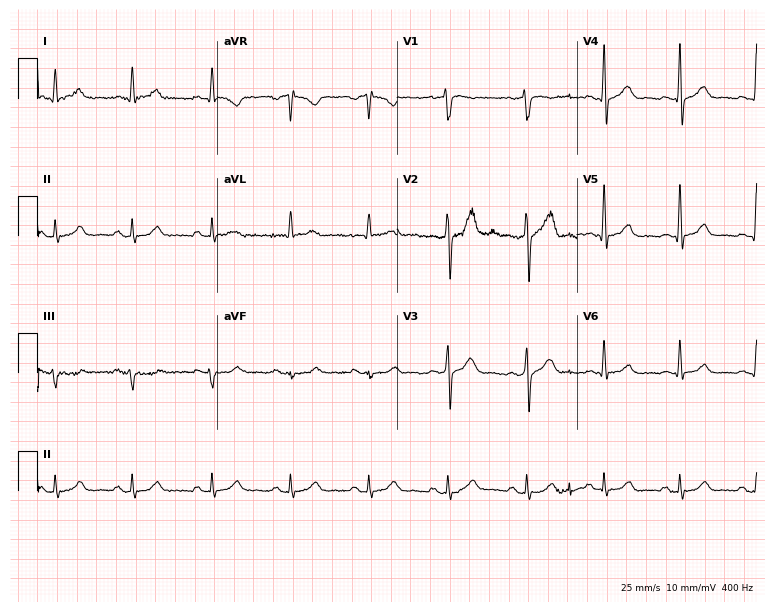
12-lead ECG (7.3-second recording at 400 Hz) from a male patient, 46 years old. Screened for six findings — first-degree AV block, right bundle branch block (RBBB), left bundle branch block (LBBB), sinus bradycardia, atrial fibrillation (AF), sinus tachycardia — none is recorded.